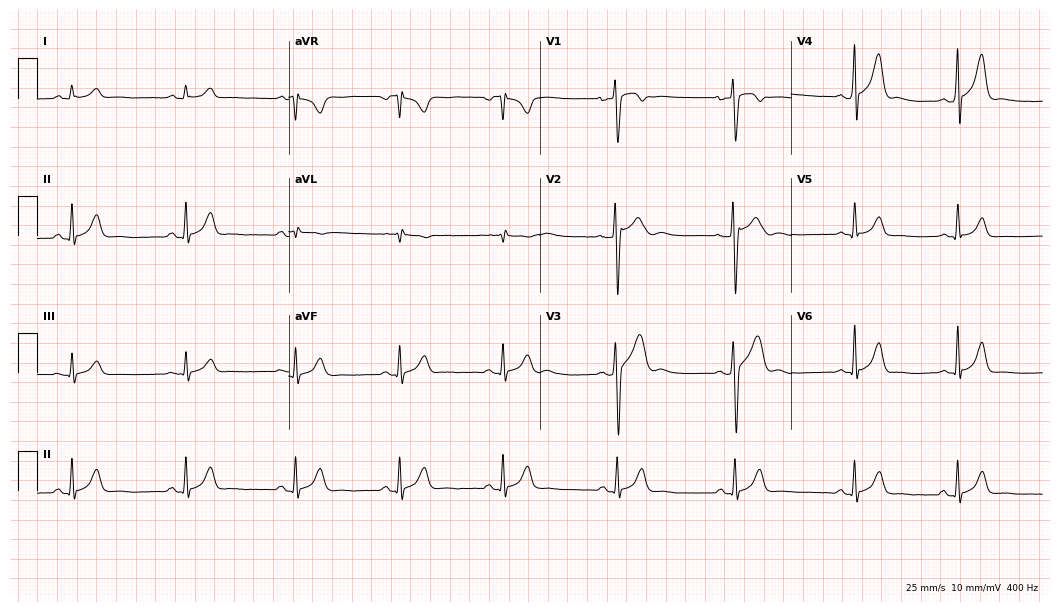
Standard 12-lead ECG recorded from a male patient, 19 years old (10.2-second recording at 400 Hz). Read as a normal ECG.